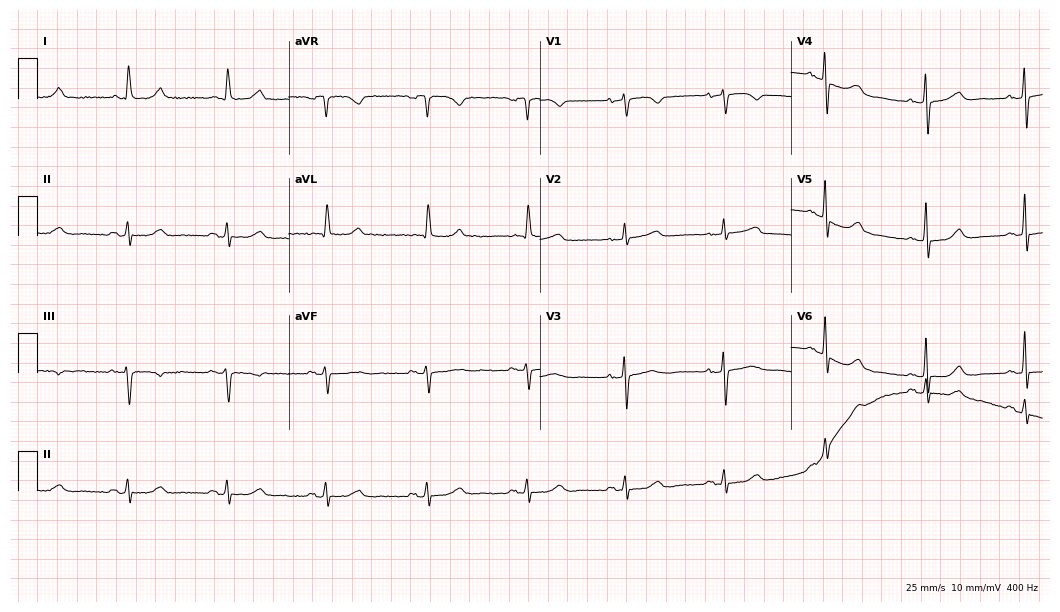
12-lead ECG from a woman, 83 years old. Recorded interpretation: within normal limits.